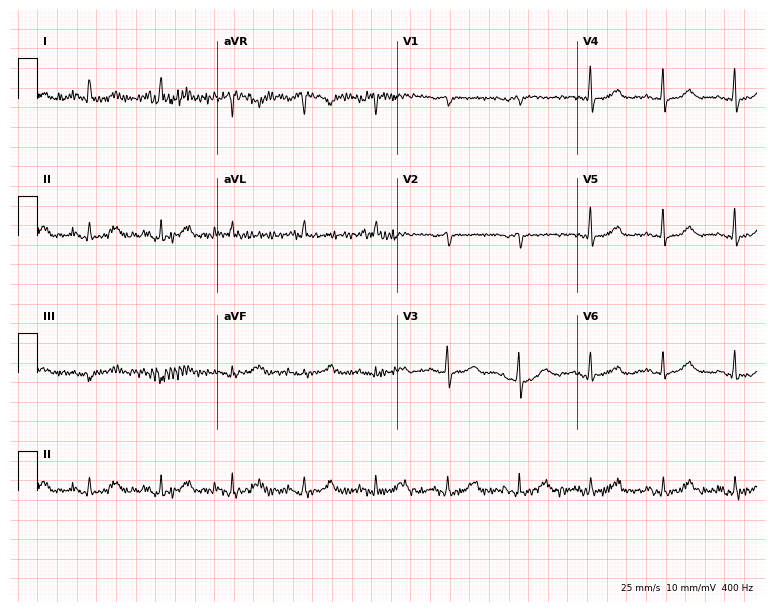
Resting 12-lead electrocardiogram (7.3-second recording at 400 Hz). Patient: a 66-year-old woman. None of these six findings is recorded: first-degree AV block, right bundle branch block, left bundle branch block, sinus bradycardia, atrial fibrillation, sinus tachycardia.